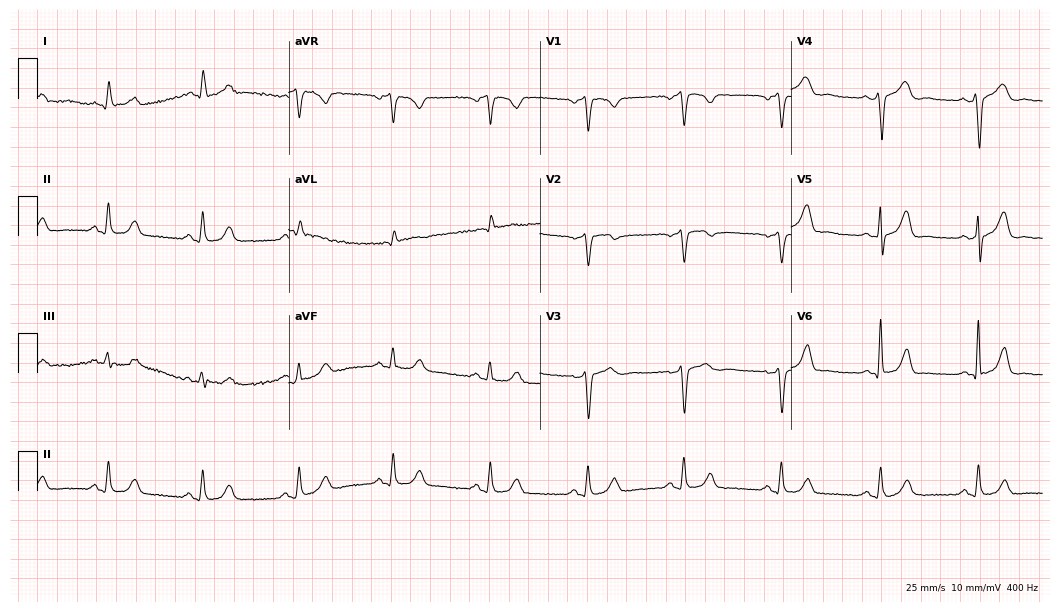
12-lead ECG from a man, 61 years old. Recorded interpretation: within normal limits.